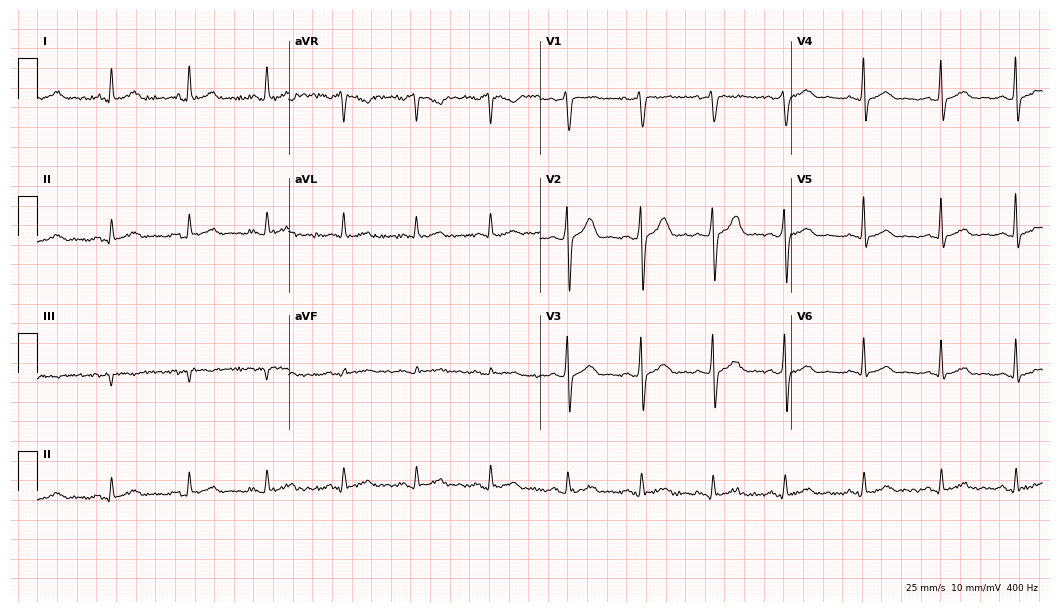
12-lead ECG from a man, 41 years old. Labelled as a normal ECG.